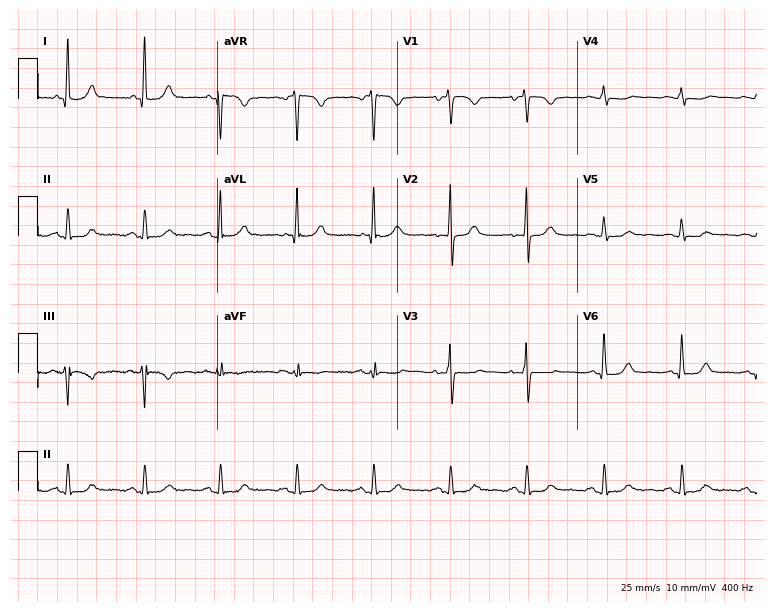
Standard 12-lead ECG recorded from a female patient, 64 years old. Read as a normal ECG.